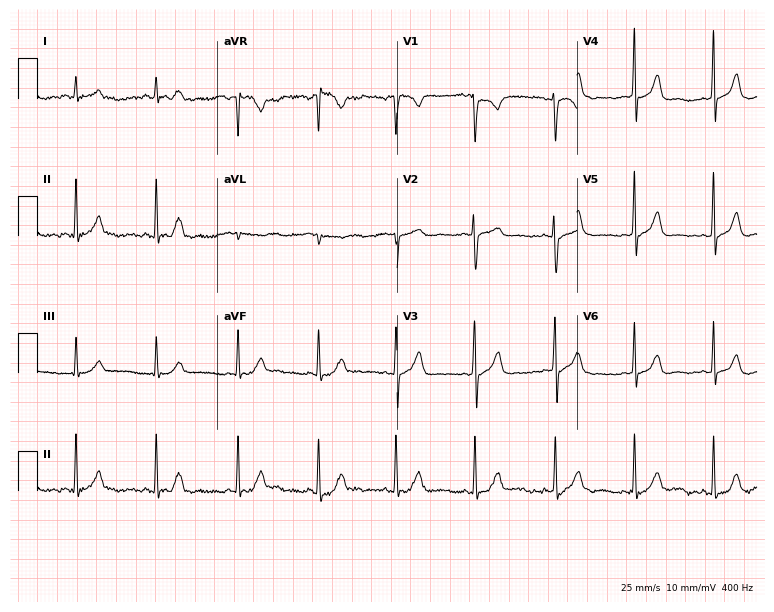
Resting 12-lead electrocardiogram. Patient: a female, 17 years old. None of these six findings is recorded: first-degree AV block, right bundle branch block (RBBB), left bundle branch block (LBBB), sinus bradycardia, atrial fibrillation (AF), sinus tachycardia.